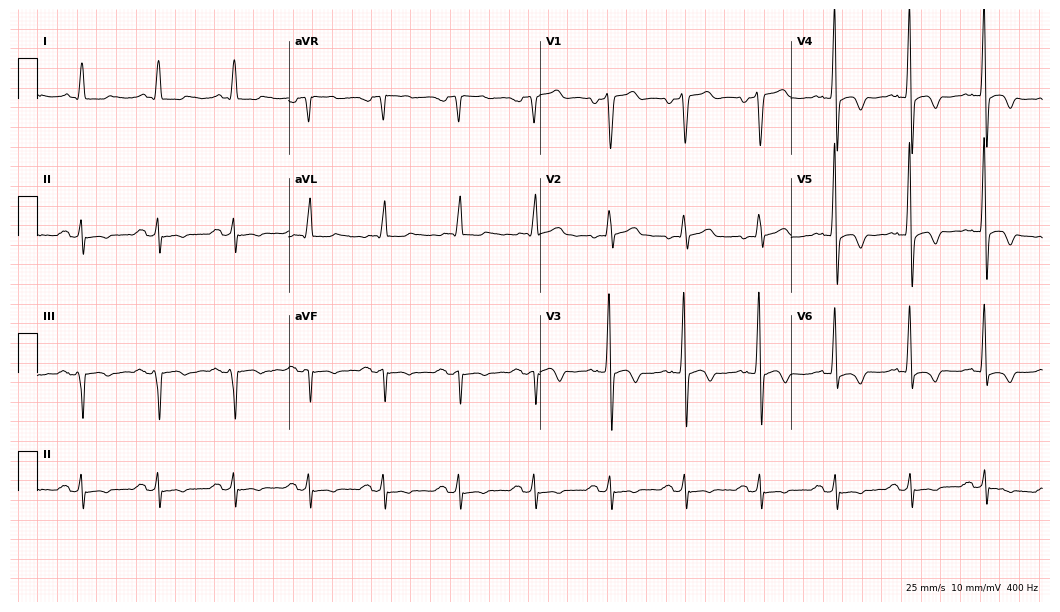
Resting 12-lead electrocardiogram. Patient: a 58-year-old male. None of these six findings is recorded: first-degree AV block, right bundle branch block, left bundle branch block, sinus bradycardia, atrial fibrillation, sinus tachycardia. Other findings, if any, are not listed.